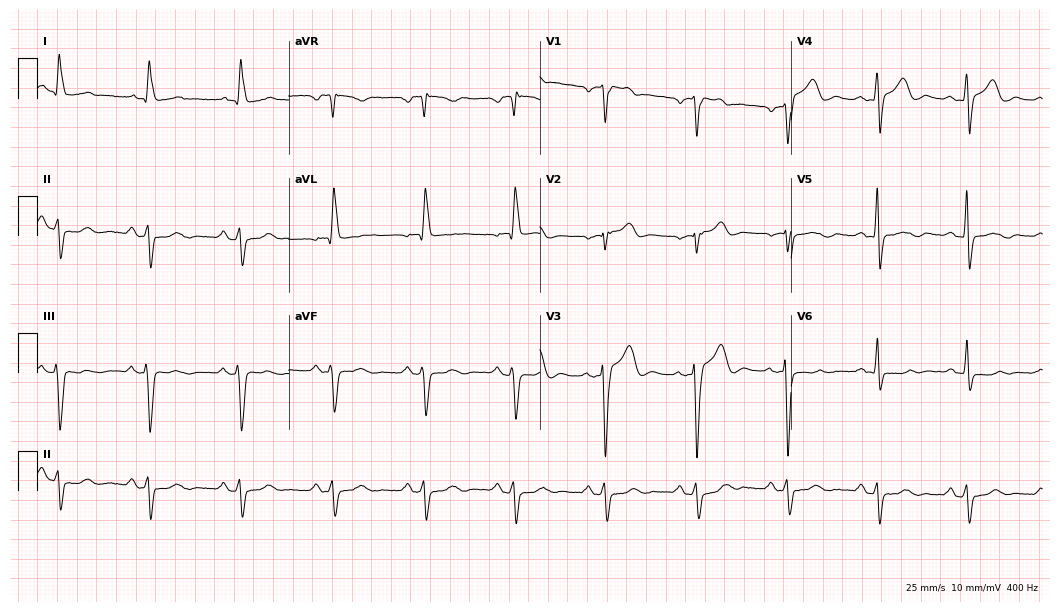
12-lead ECG from a 68-year-old man (10.2-second recording at 400 Hz). No first-degree AV block, right bundle branch block, left bundle branch block, sinus bradycardia, atrial fibrillation or sinus tachycardia recorded for this tracing. Findings outside these six are not listed.